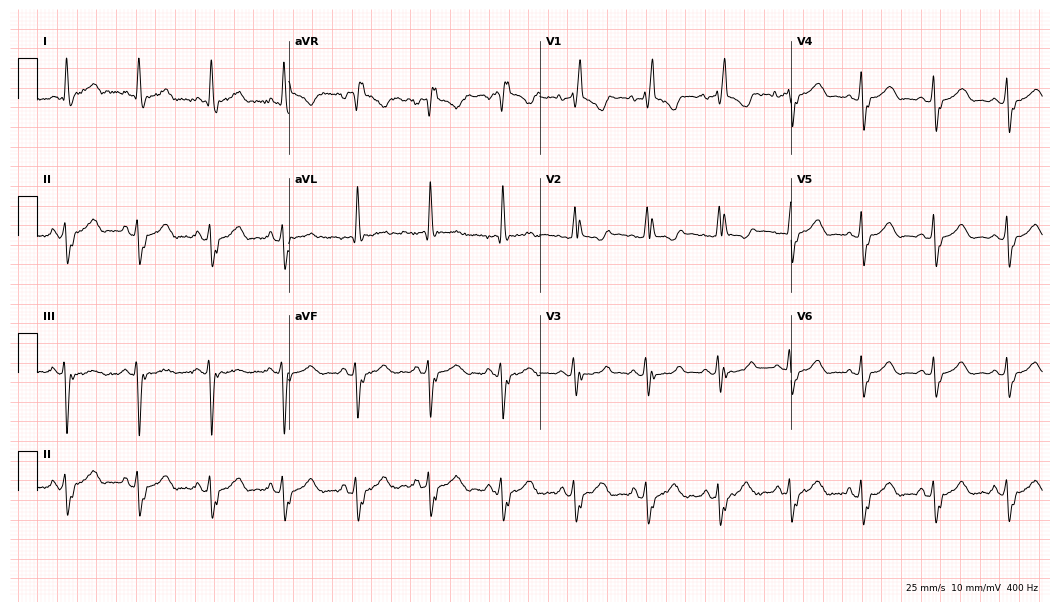
Resting 12-lead electrocardiogram. Patient: a 43-year-old female. The tracing shows right bundle branch block.